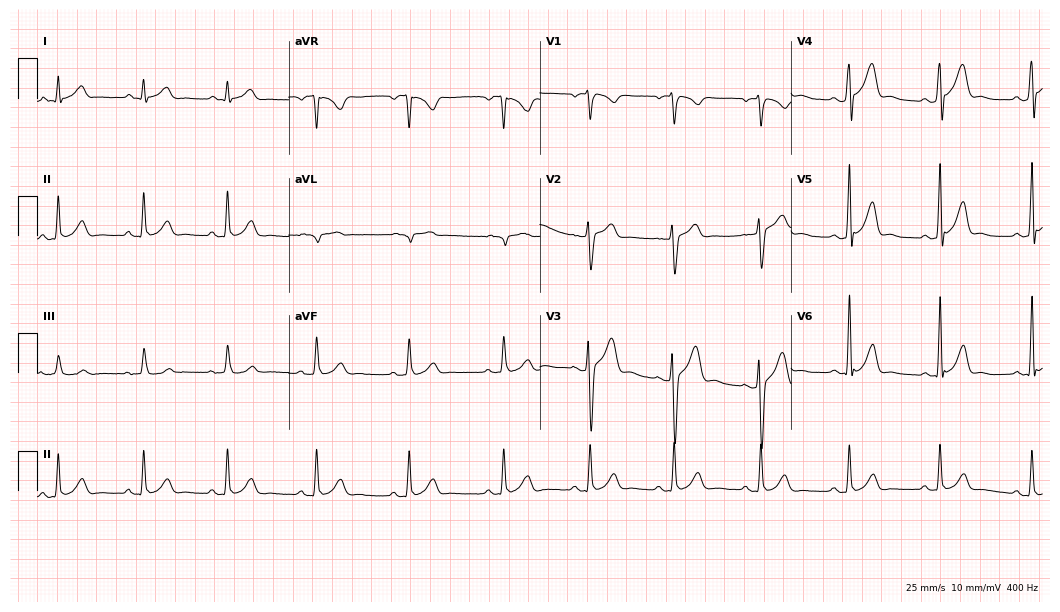
12-lead ECG from a female patient, 28 years old. Recorded interpretation: within normal limits.